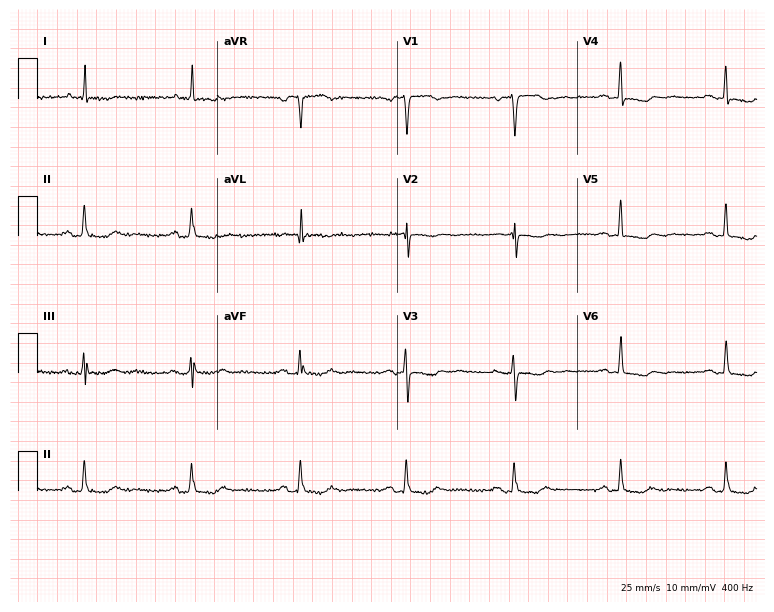
ECG (7.3-second recording at 400 Hz) — a female, 81 years old. Screened for six findings — first-degree AV block, right bundle branch block, left bundle branch block, sinus bradycardia, atrial fibrillation, sinus tachycardia — none is recorded.